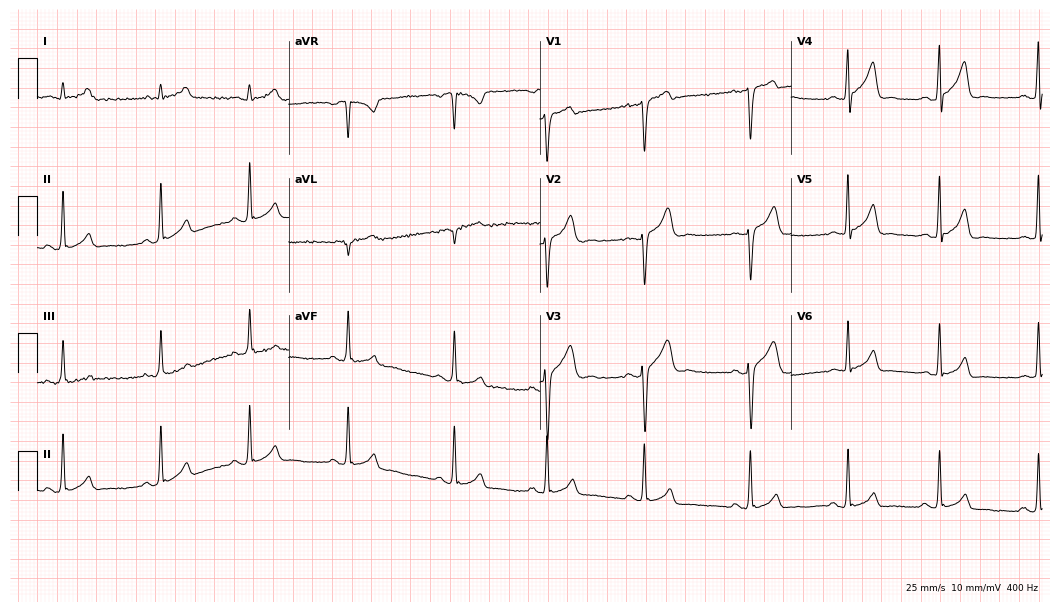
Electrocardiogram (10.2-second recording at 400 Hz), a male patient, 24 years old. Overall reading on record: normal ECG.